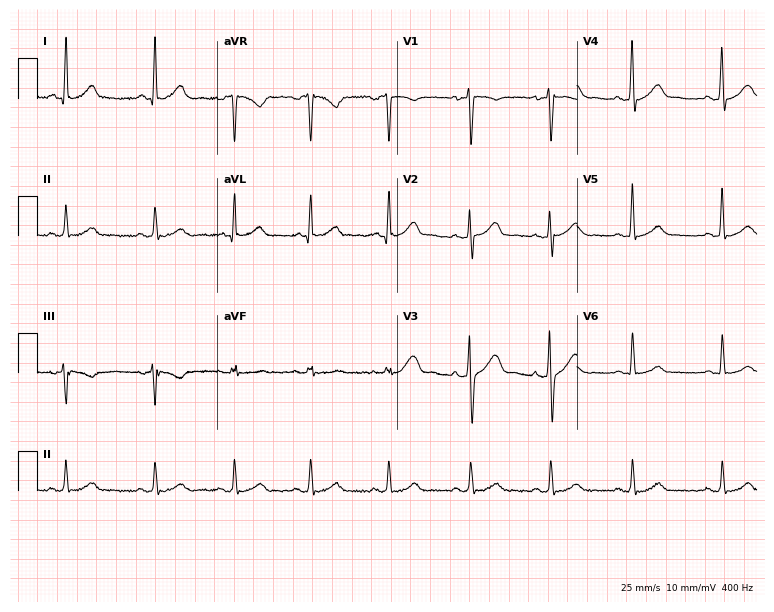
ECG (7.3-second recording at 400 Hz) — a male patient, 35 years old. Labelled as a normal ECG.